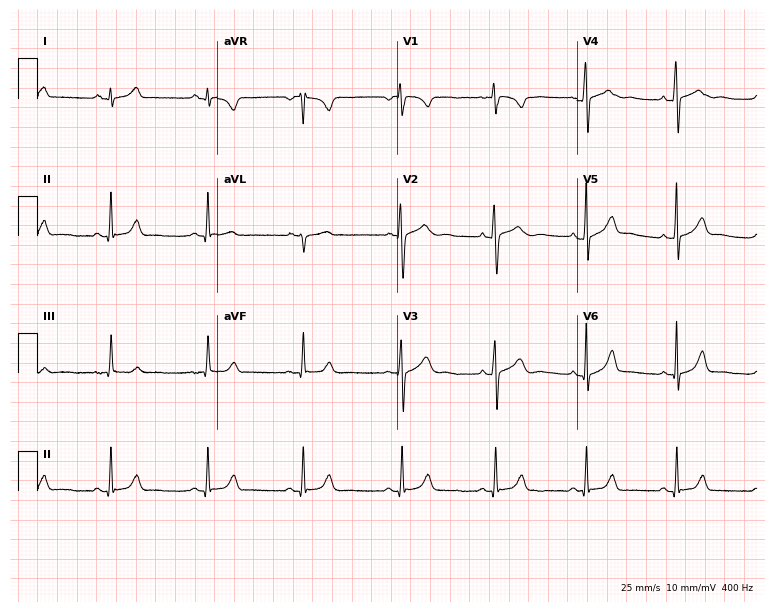
ECG — a female, 18 years old. Screened for six findings — first-degree AV block, right bundle branch block, left bundle branch block, sinus bradycardia, atrial fibrillation, sinus tachycardia — none is recorded.